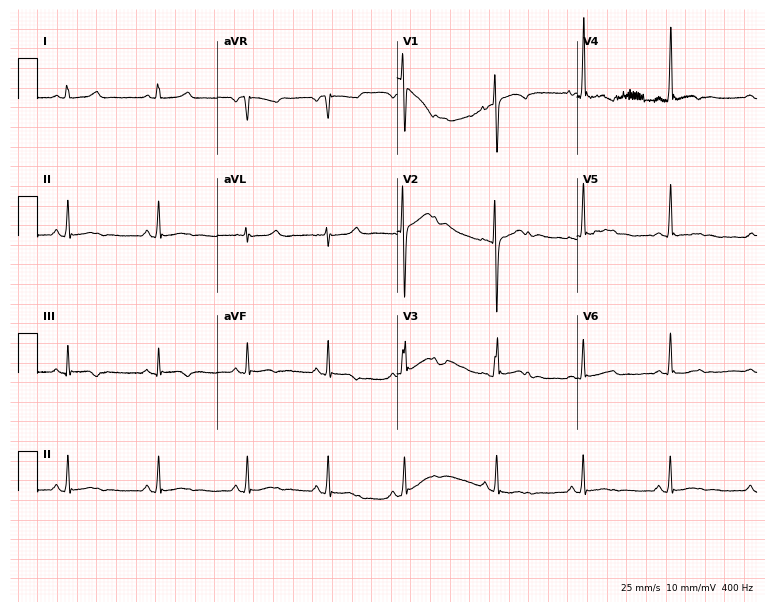
12-lead ECG (7.3-second recording at 400 Hz) from a 17-year-old female. Screened for six findings — first-degree AV block, right bundle branch block, left bundle branch block, sinus bradycardia, atrial fibrillation, sinus tachycardia — none is recorded. Only these six findings were labelled.